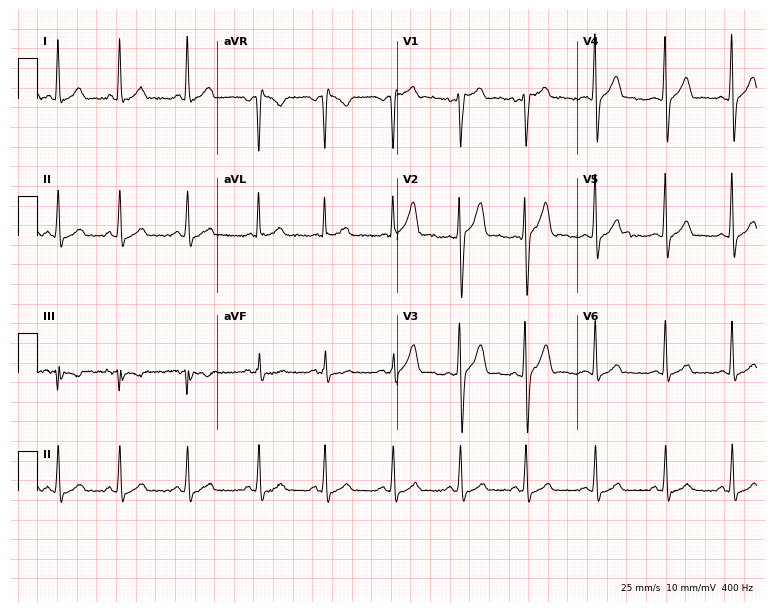
Resting 12-lead electrocardiogram (7.3-second recording at 400 Hz). Patient: a male, 20 years old. Read as a normal ECG.